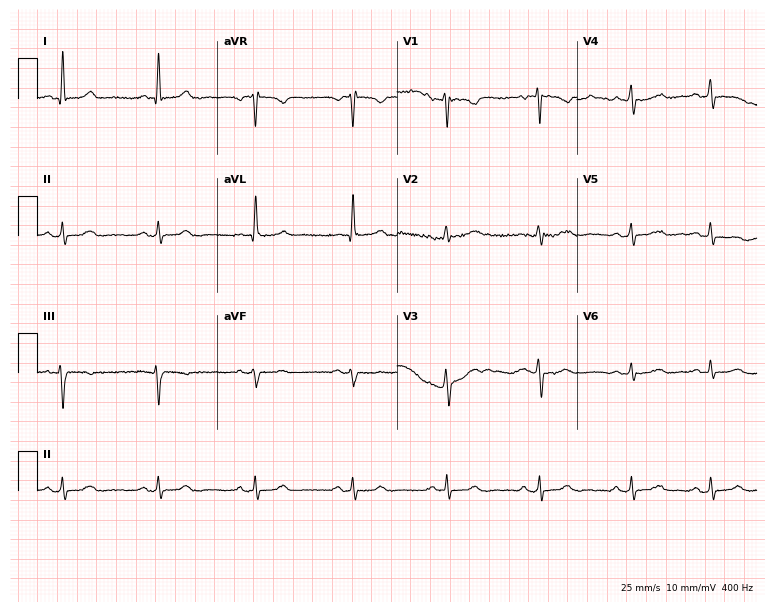
Electrocardiogram, a man, 70 years old. Of the six screened findings (first-degree AV block, right bundle branch block, left bundle branch block, sinus bradycardia, atrial fibrillation, sinus tachycardia), none is recorded.